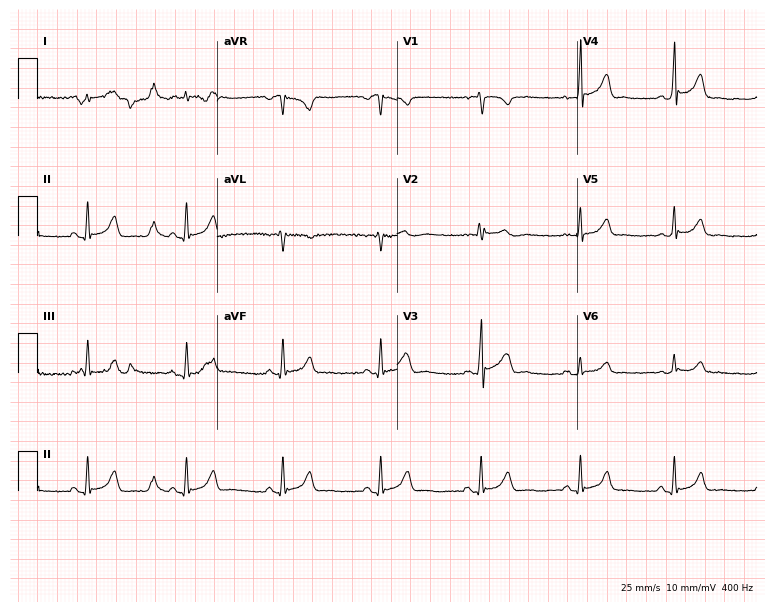
ECG (7.3-second recording at 400 Hz) — a male patient, 22 years old. Labelled as a normal ECG.